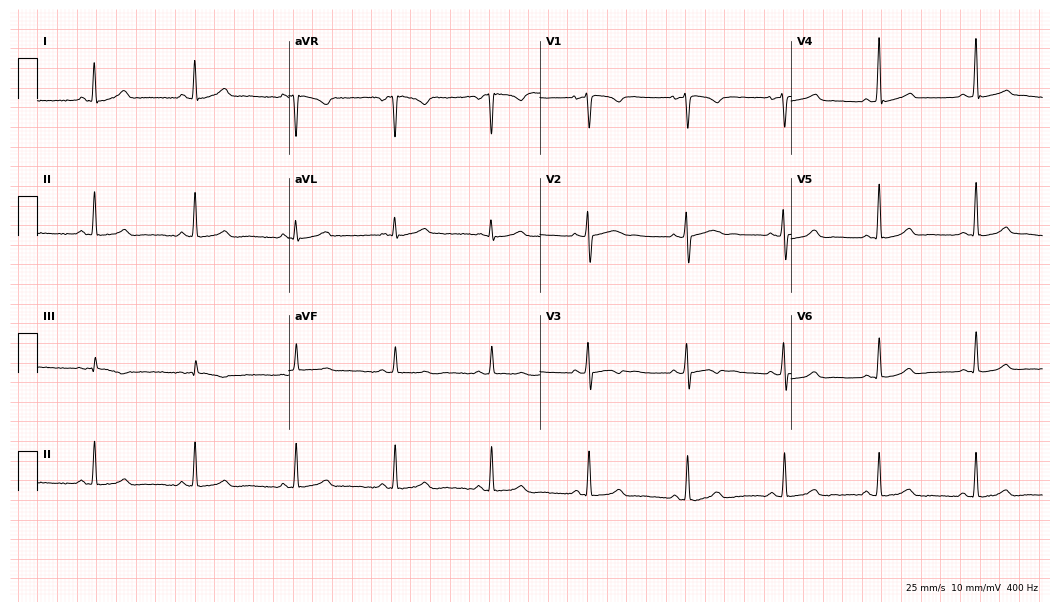
Resting 12-lead electrocardiogram. Patient: a 30-year-old female. None of these six findings is recorded: first-degree AV block, right bundle branch block, left bundle branch block, sinus bradycardia, atrial fibrillation, sinus tachycardia.